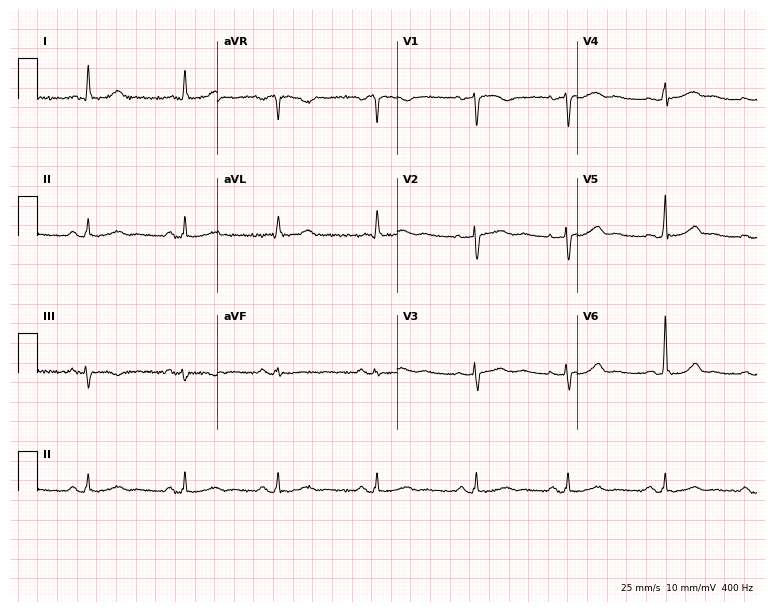
Resting 12-lead electrocardiogram (7.3-second recording at 400 Hz). Patient: a 42-year-old woman. Read as a normal ECG.